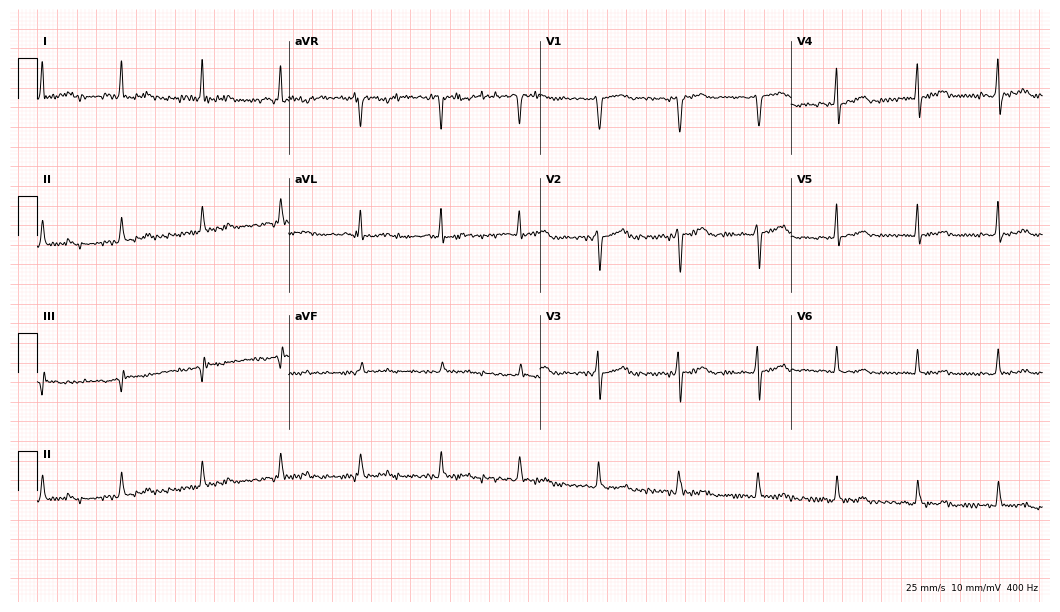
12-lead ECG from a woman, 43 years old (10.2-second recording at 400 Hz). No first-degree AV block, right bundle branch block, left bundle branch block, sinus bradycardia, atrial fibrillation or sinus tachycardia recorded for this tracing. Other findings, if any, are not listed.